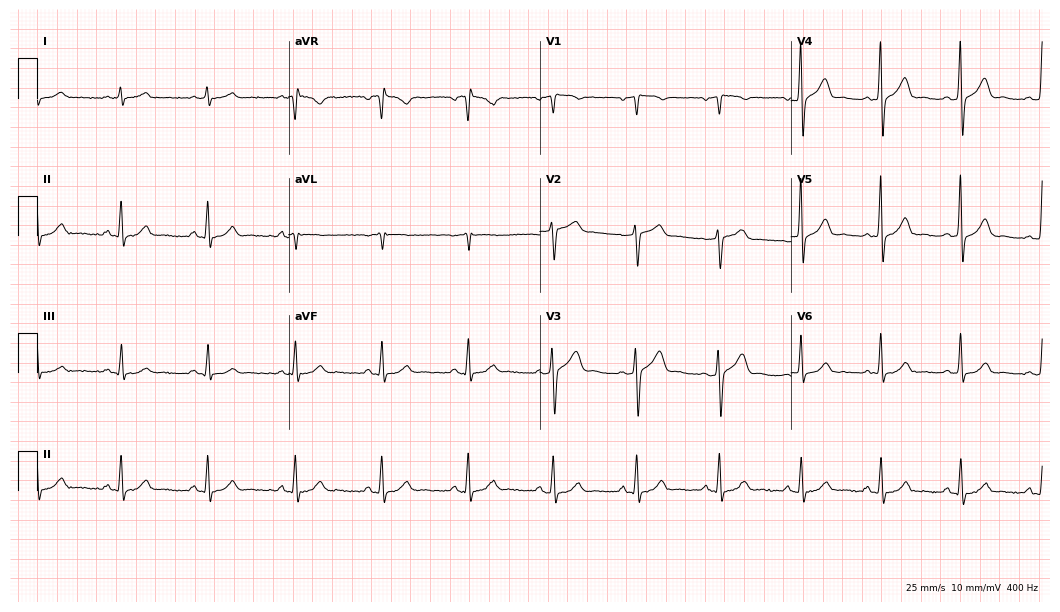
ECG (10.2-second recording at 400 Hz) — a man, 56 years old. Screened for six findings — first-degree AV block, right bundle branch block (RBBB), left bundle branch block (LBBB), sinus bradycardia, atrial fibrillation (AF), sinus tachycardia — none is recorded.